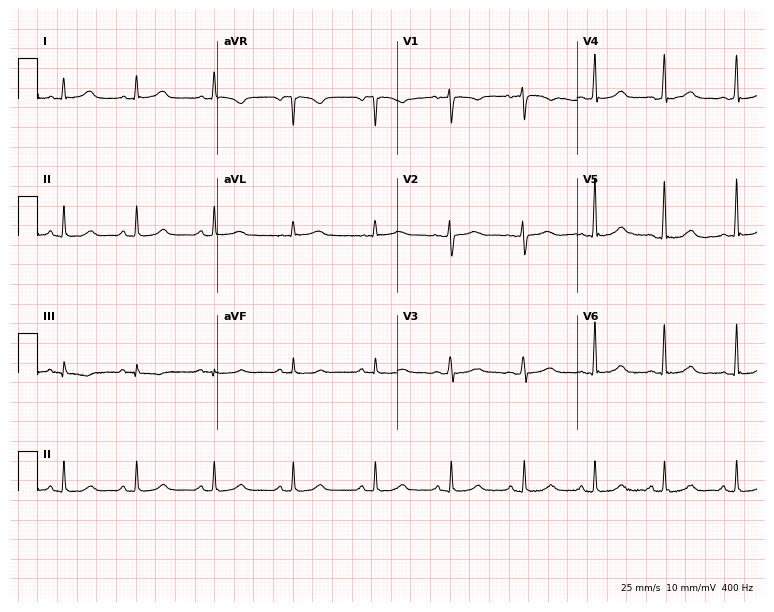
Electrocardiogram, a 43-year-old female. Of the six screened findings (first-degree AV block, right bundle branch block (RBBB), left bundle branch block (LBBB), sinus bradycardia, atrial fibrillation (AF), sinus tachycardia), none is recorded. Findings outside these six are not listed.